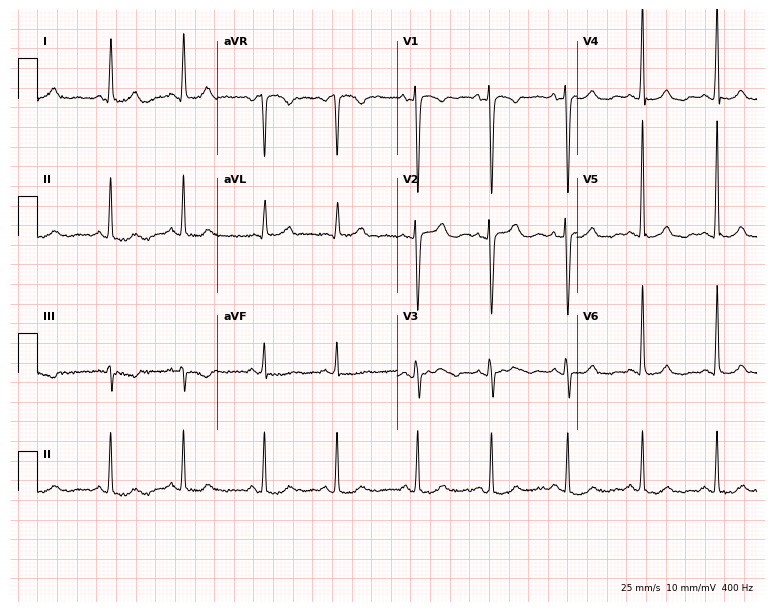
Resting 12-lead electrocardiogram. Patient: a female, 77 years old. Read as a normal ECG.